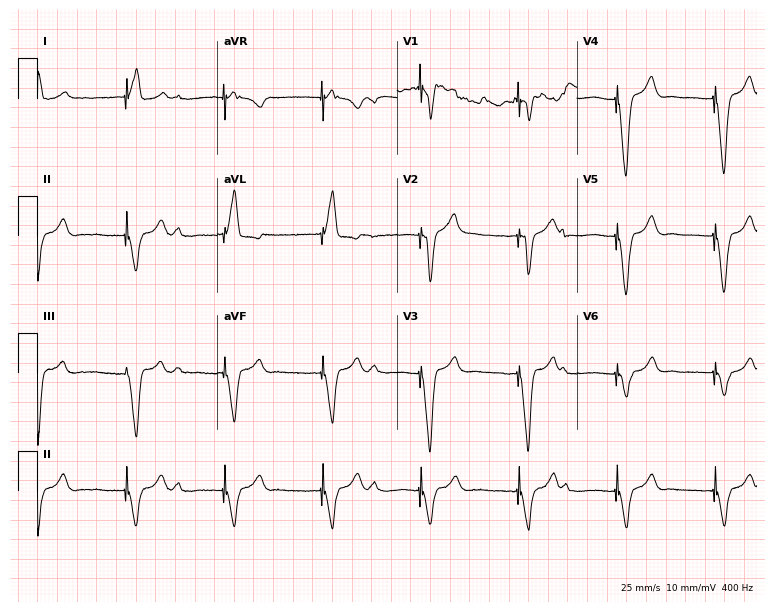
Resting 12-lead electrocardiogram (7.3-second recording at 400 Hz). Patient: a man, 38 years old. None of these six findings is recorded: first-degree AV block, right bundle branch block, left bundle branch block, sinus bradycardia, atrial fibrillation, sinus tachycardia. Only these six findings were labelled.